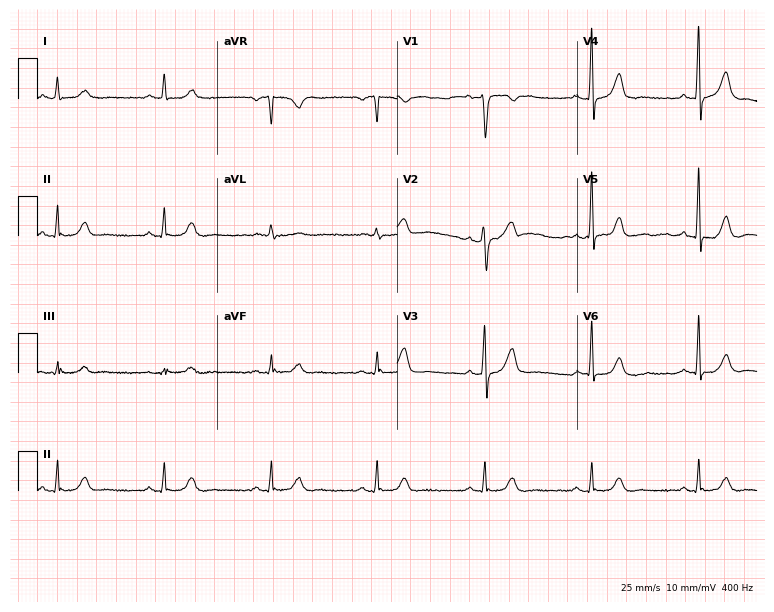
Electrocardiogram, a male, 68 years old. Overall reading on record: normal ECG.